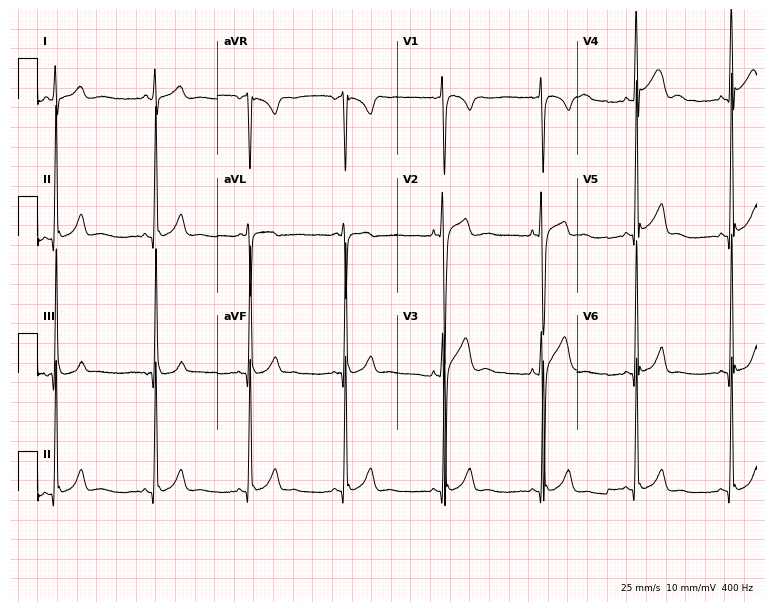
Electrocardiogram (7.3-second recording at 400 Hz), a male, 23 years old. Overall reading on record: normal ECG.